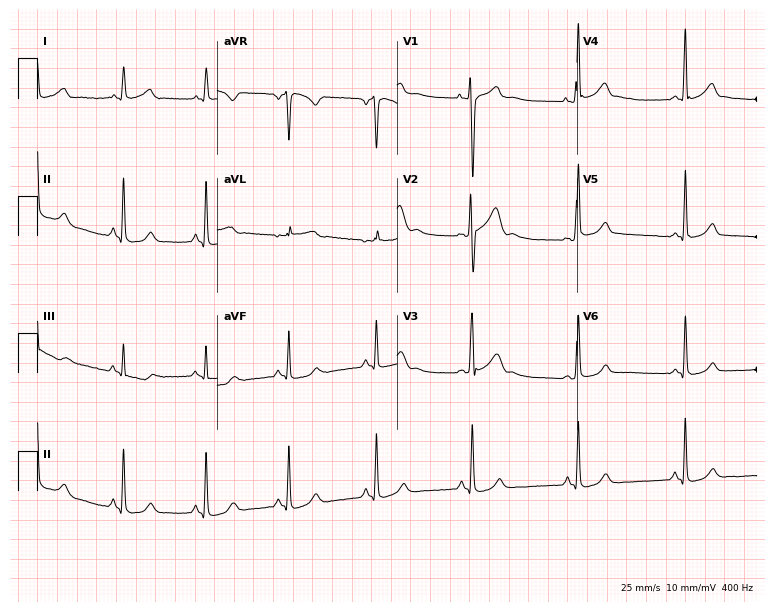
Standard 12-lead ECG recorded from a male patient, 18 years old (7.3-second recording at 400 Hz). None of these six findings is recorded: first-degree AV block, right bundle branch block, left bundle branch block, sinus bradycardia, atrial fibrillation, sinus tachycardia. Only these six findings were labelled.